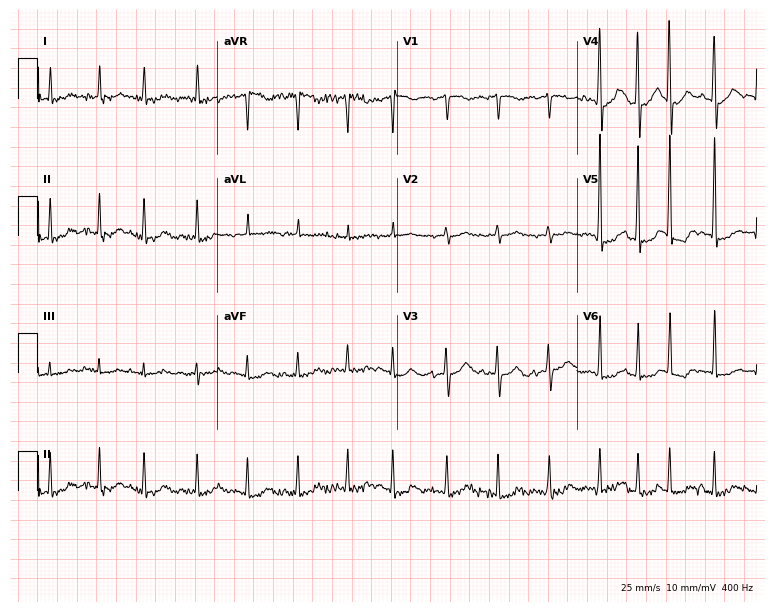
Electrocardiogram, a female, 83 years old. Interpretation includes sinus tachycardia (a sinus rate of 100 beats per minute or more).